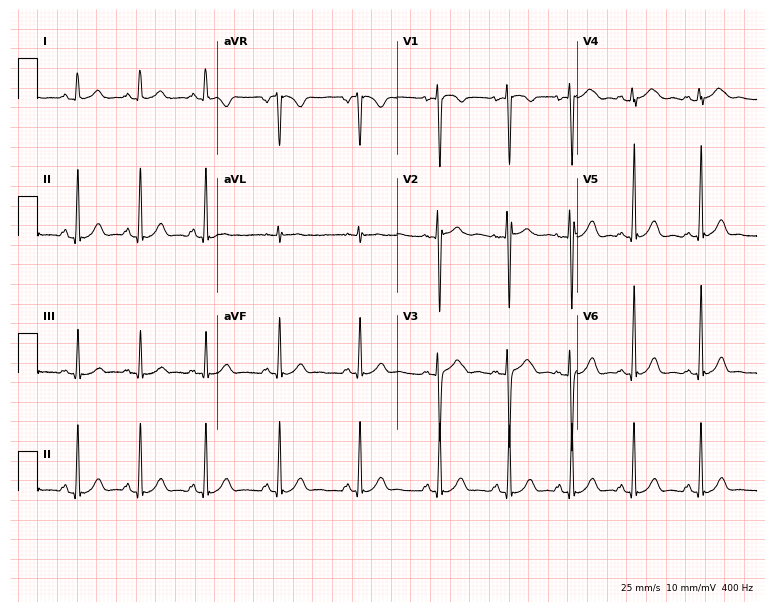
Resting 12-lead electrocardiogram. Patient: an 18-year-old woman. Read as a normal ECG.